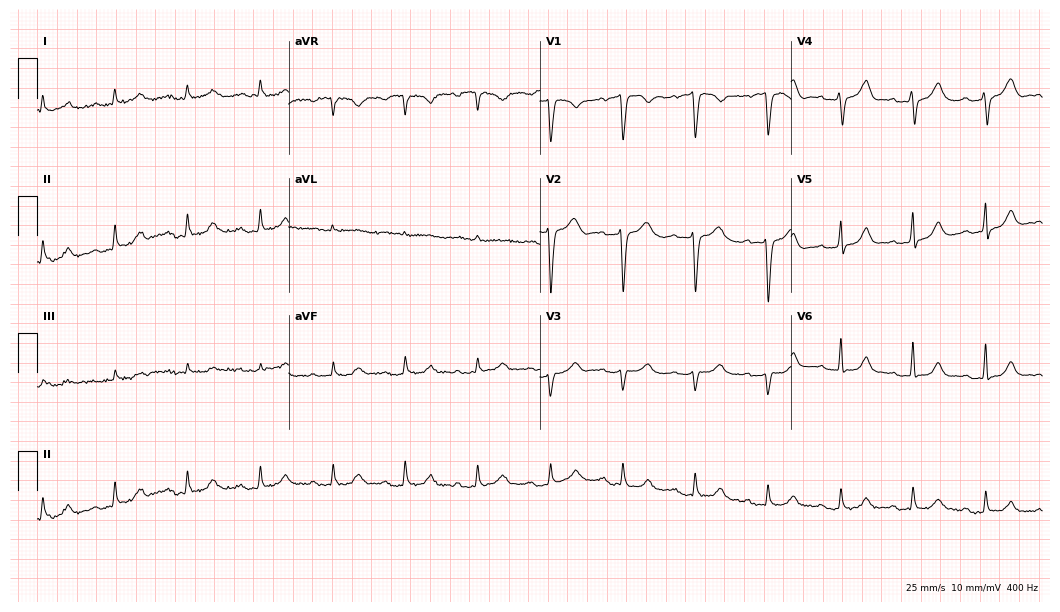
Resting 12-lead electrocardiogram. Patient: a 70-year-old male. None of these six findings is recorded: first-degree AV block, right bundle branch block (RBBB), left bundle branch block (LBBB), sinus bradycardia, atrial fibrillation (AF), sinus tachycardia.